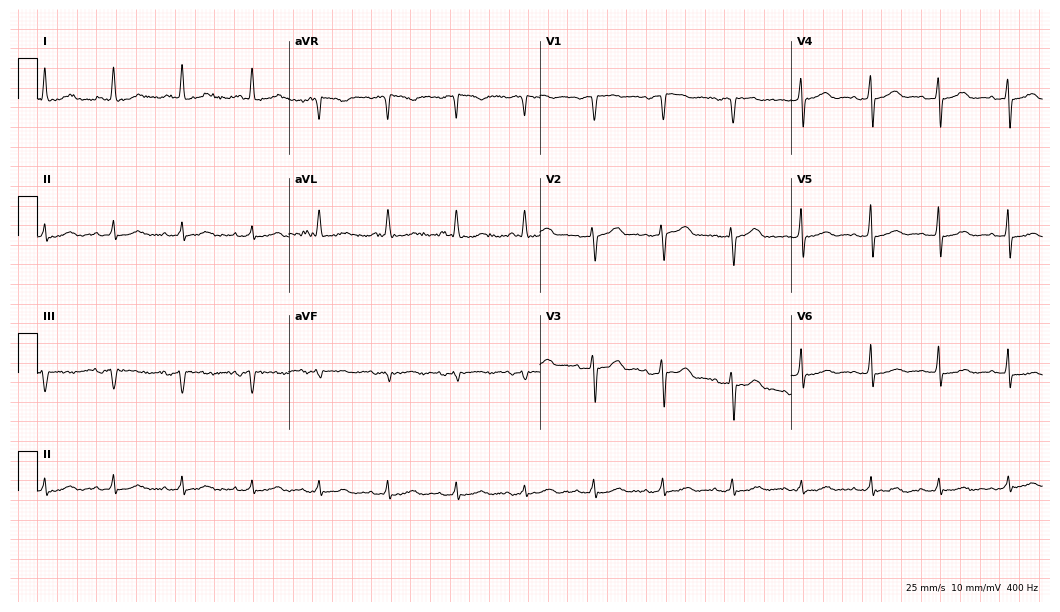
12-lead ECG from a 72-year-old woman. Labelled as a normal ECG.